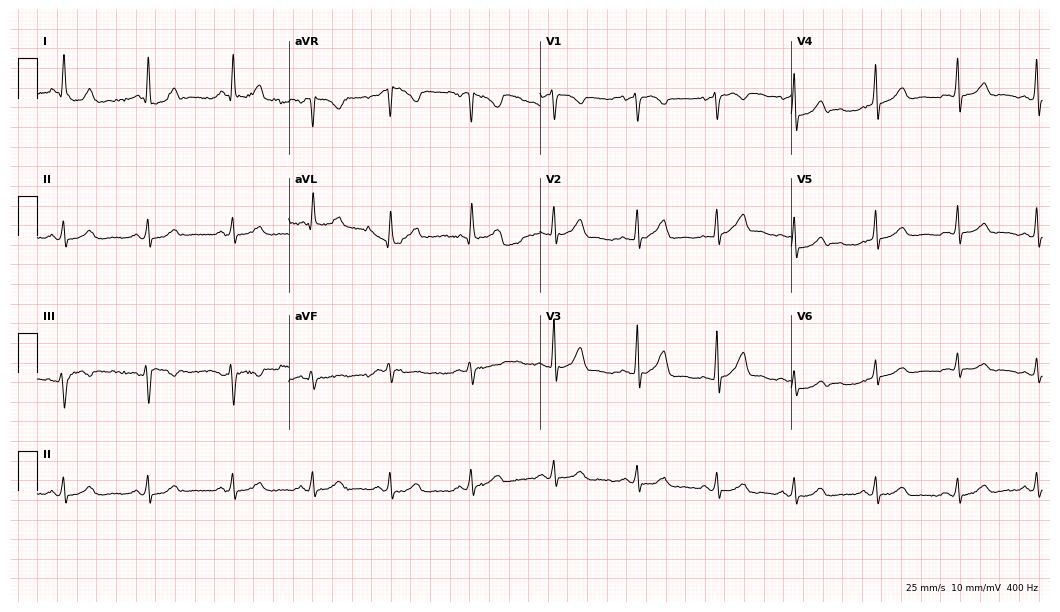
12-lead ECG (10.2-second recording at 400 Hz) from a female patient, 50 years old. Labelled as a normal ECG.